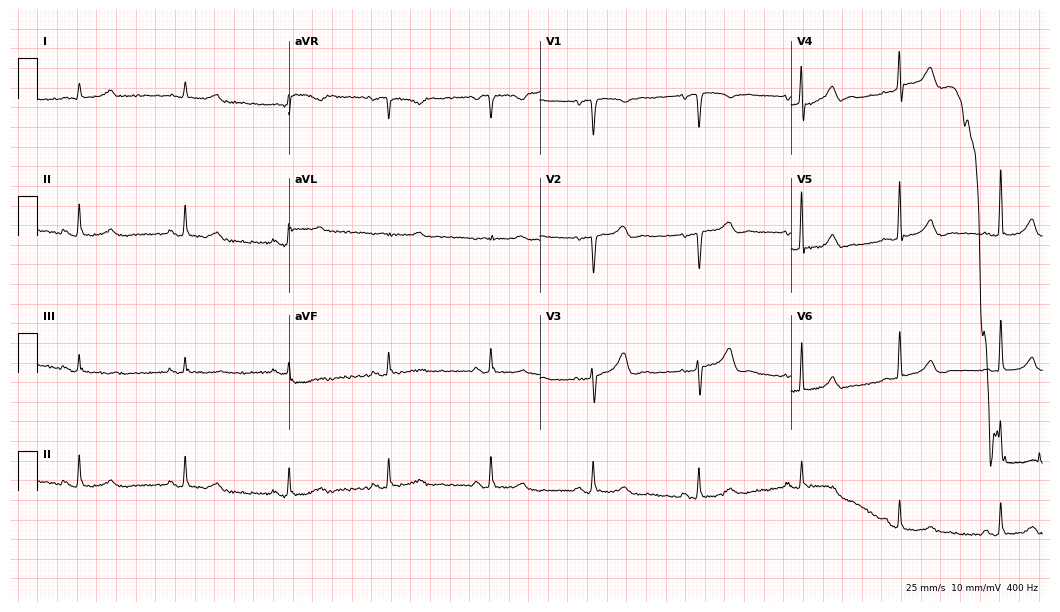
ECG — a 62-year-old female patient. Labelled as a normal ECG.